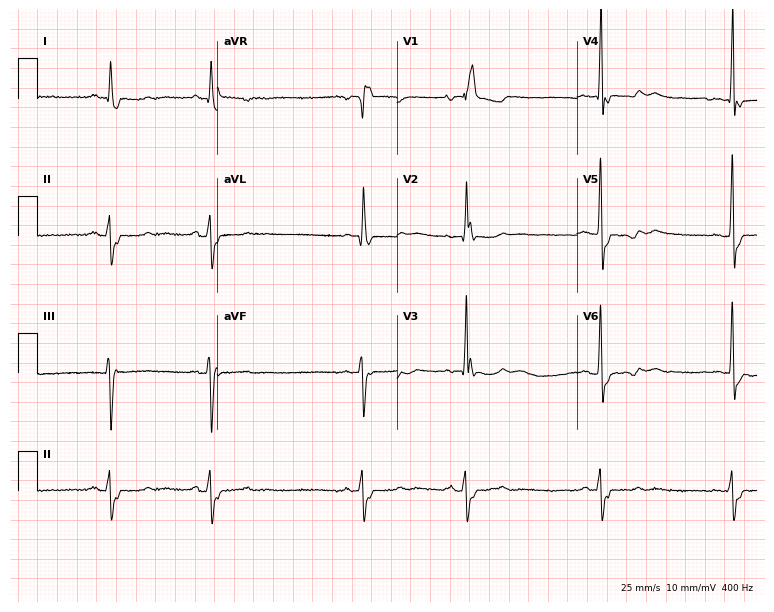
12-lead ECG from a 68-year-old female patient. Findings include right bundle branch block (RBBB).